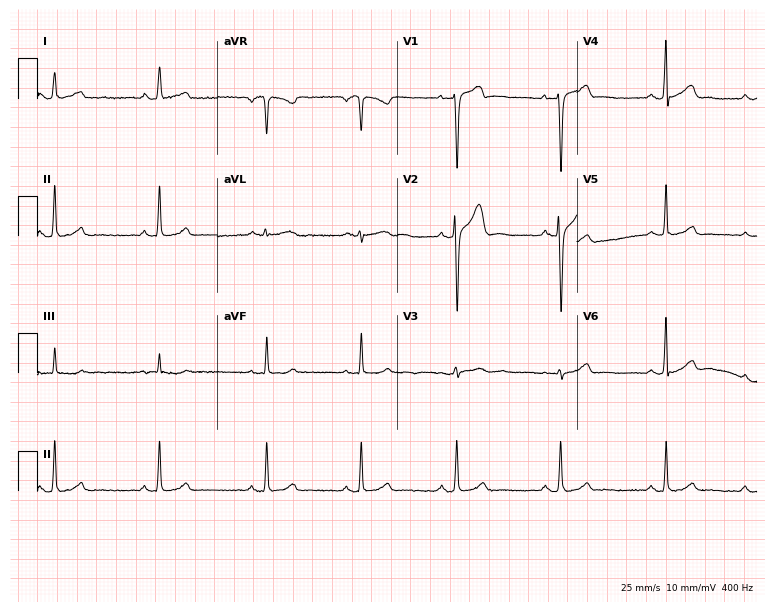
Resting 12-lead electrocardiogram. Patient: a 37-year-old male. Read as a normal ECG.